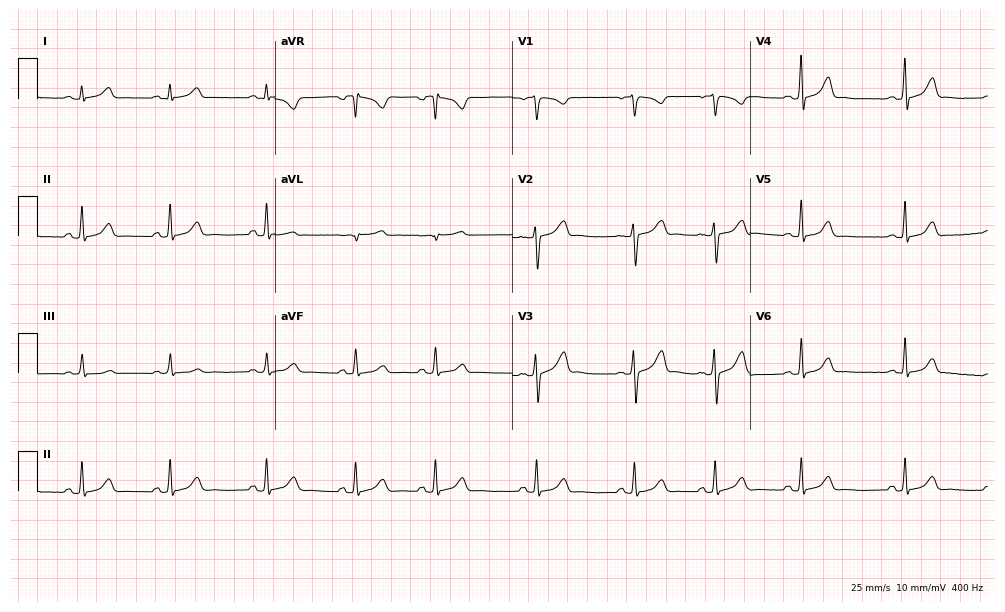
12-lead ECG from a woman, 19 years old (9.7-second recording at 400 Hz). Recorded interpretation: within normal limits.